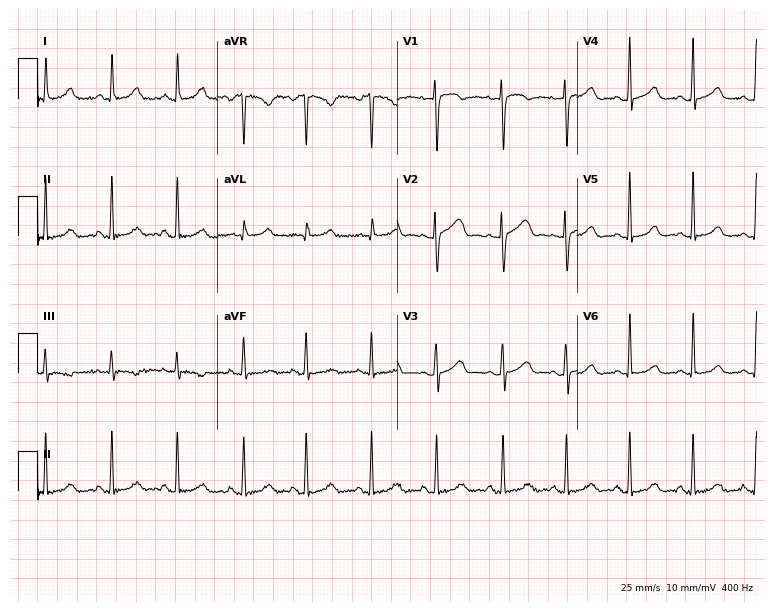
ECG (7.3-second recording at 400 Hz) — a female patient, 37 years old. Labelled as a normal ECG.